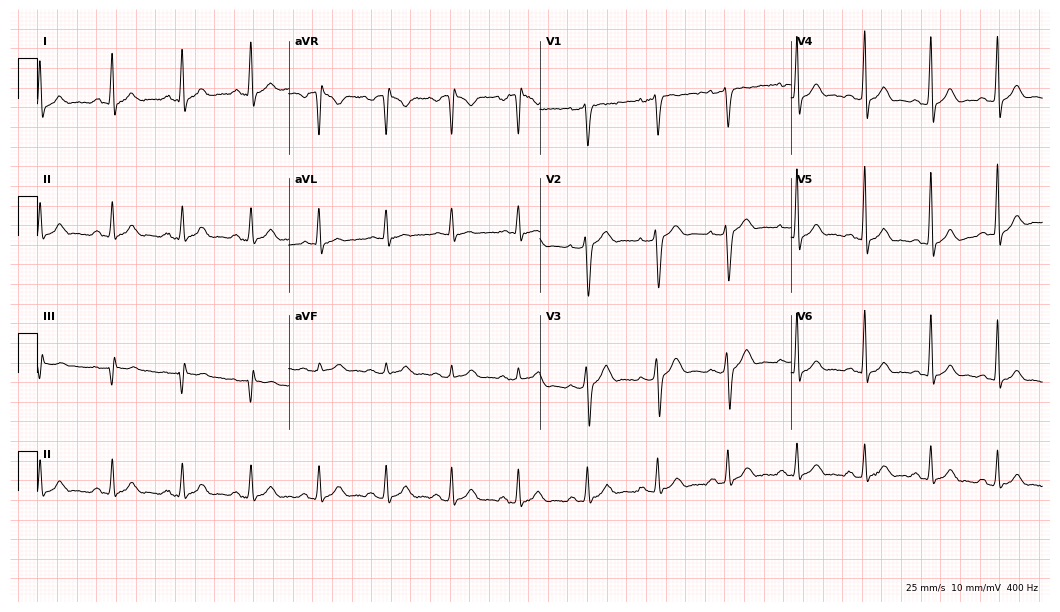
Electrocardiogram (10.2-second recording at 400 Hz), a 38-year-old man. Overall reading on record: normal ECG.